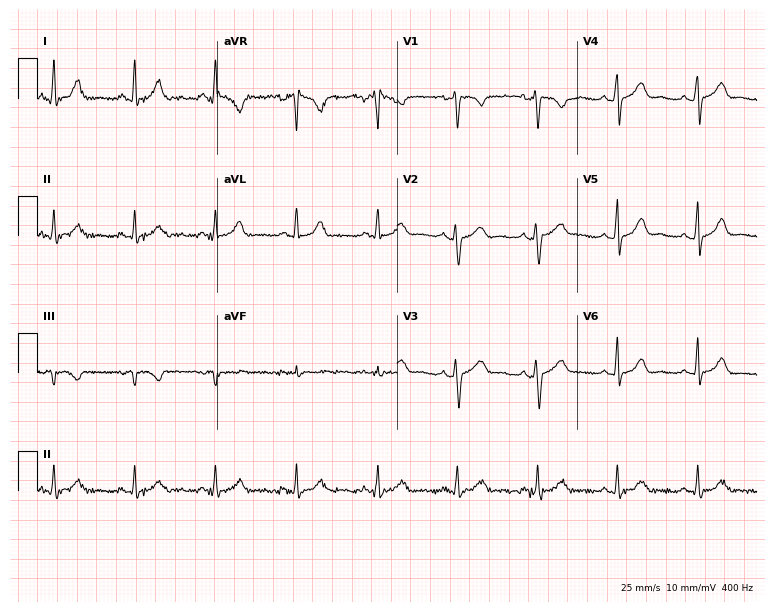
12-lead ECG from a 30-year-old woman. Labelled as a normal ECG.